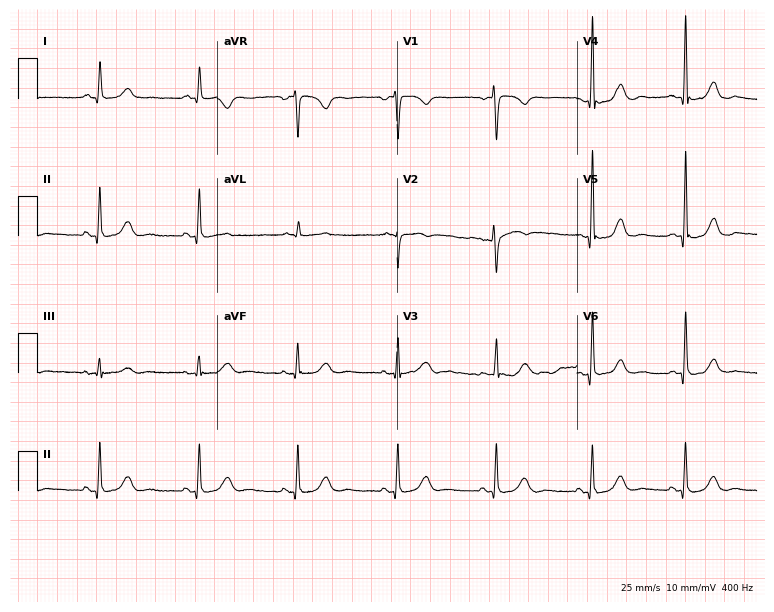
Resting 12-lead electrocardiogram (7.3-second recording at 400 Hz). Patient: a woman, 49 years old. Read as a normal ECG.